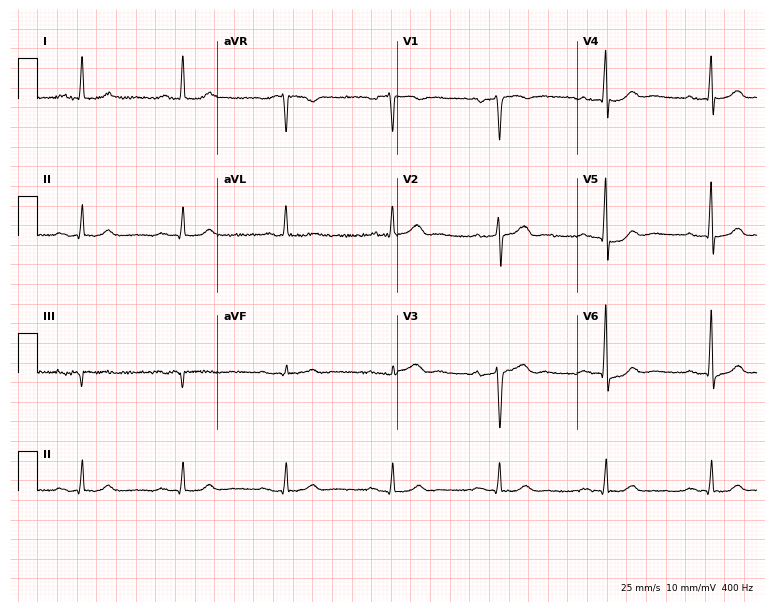
12-lead ECG from a female patient, 81 years old. Screened for six findings — first-degree AV block, right bundle branch block (RBBB), left bundle branch block (LBBB), sinus bradycardia, atrial fibrillation (AF), sinus tachycardia — none is recorded. Other findings, if any, are not listed.